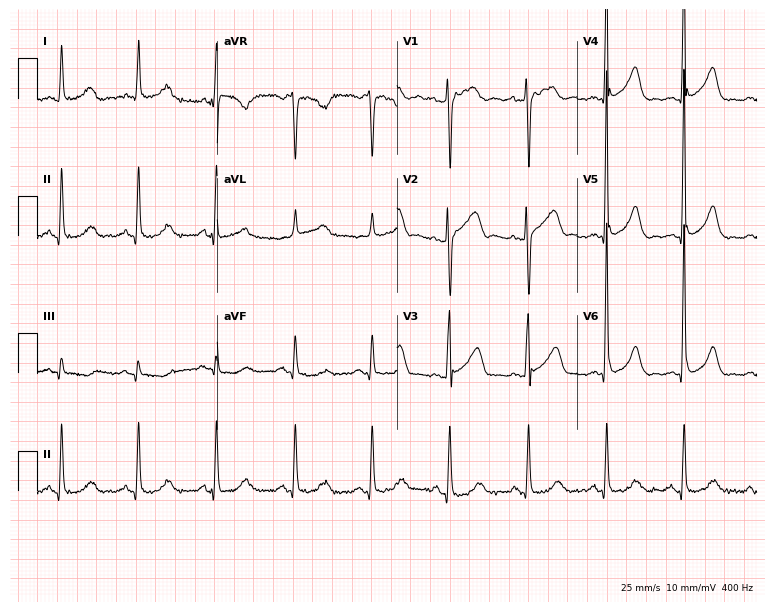
Resting 12-lead electrocardiogram. Patient: a 78-year-old female. Read as a normal ECG.